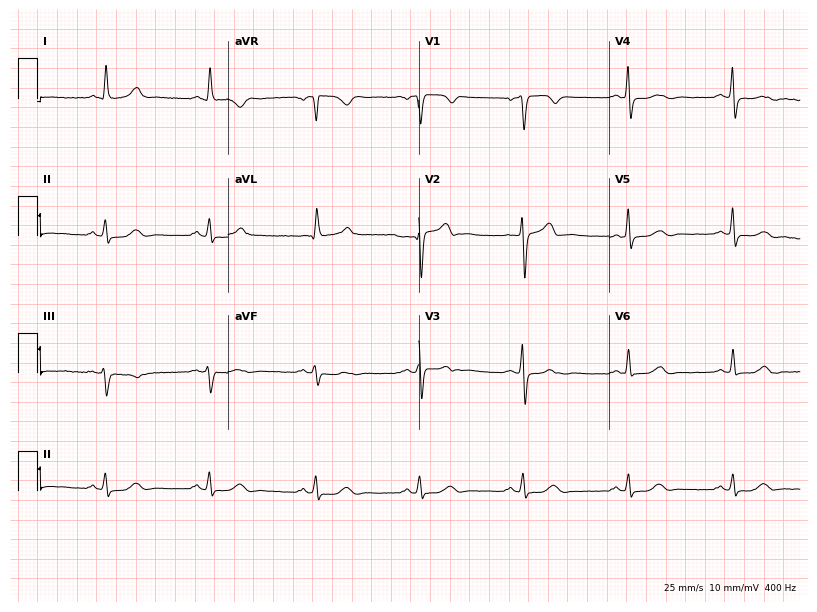
12-lead ECG (7.8-second recording at 400 Hz) from a male patient, 63 years old. Labelled as a normal ECG.